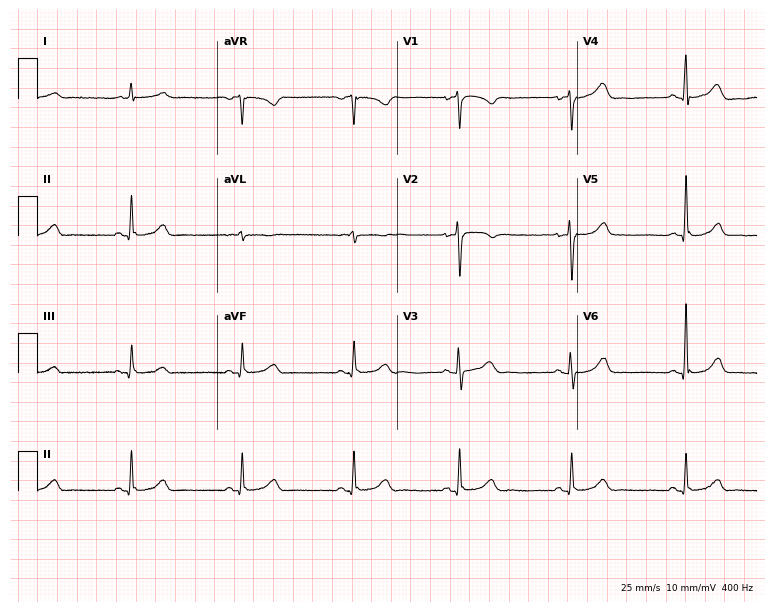
12-lead ECG from a female, 53 years old (7.3-second recording at 400 Hz). Recorded interpretation: within normal limits.